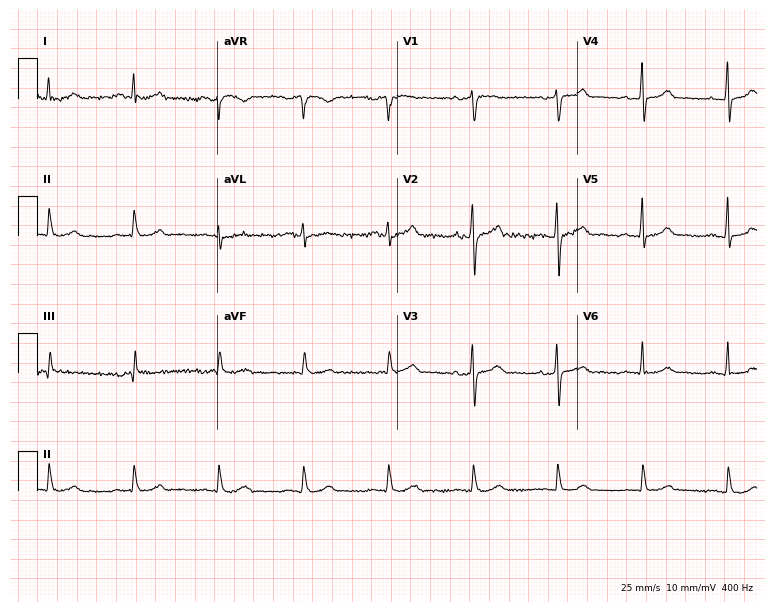
12-lead ECG (7.3-second recording at 400 Hz) from a 54-year-old male. Labelled as a normal ECG.